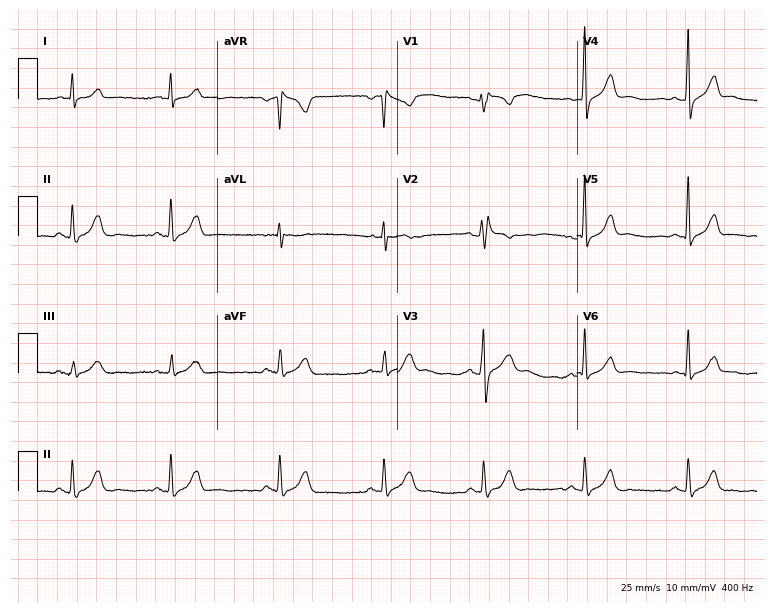
12-lead ECG from a man, 32 years old. Screened for six findings — first-degree AV block, right bundle branch block, left bundle branch block, sinus bradycardia, atrial fibrillation, sinus tachycardia — none is recorded. Other findings, if any, are not listed.